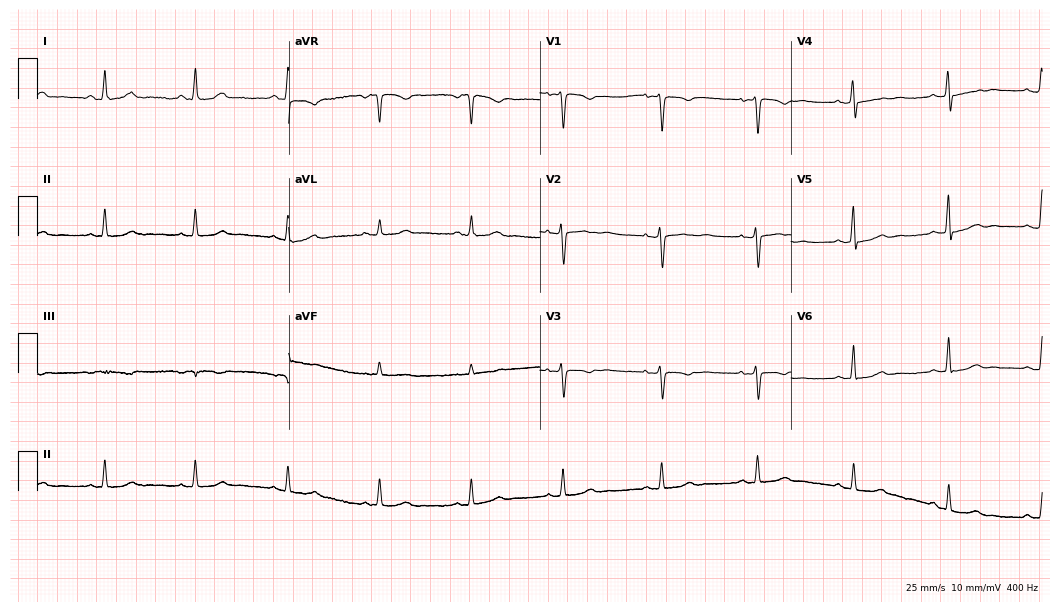
ECG — a female, 45 years old. Labelled as a normal ECG.